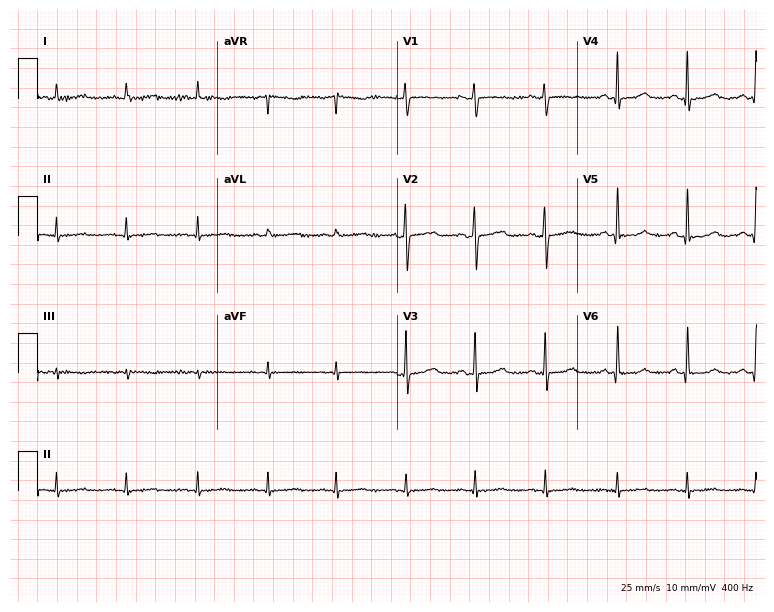
Electrocardiogram, a female, 35 years old. Overall reading on record: normal ECG.